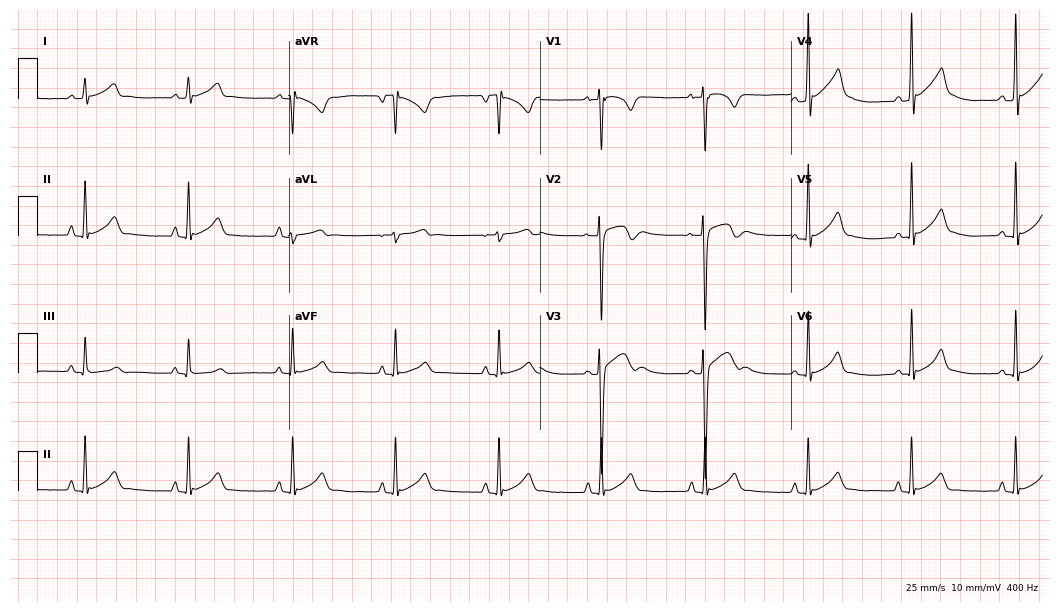
Standard 12-lead ECG recorded from a male patient, 18 years old (10.2-second recording at 400 Hz). None of these six findings is recorded: first-degree AV block, right bundle branch block (RBBB), left bundle branch block (LBBB), sinus bradycardia, atrial fibrillation (AF), sinus tachycardia.